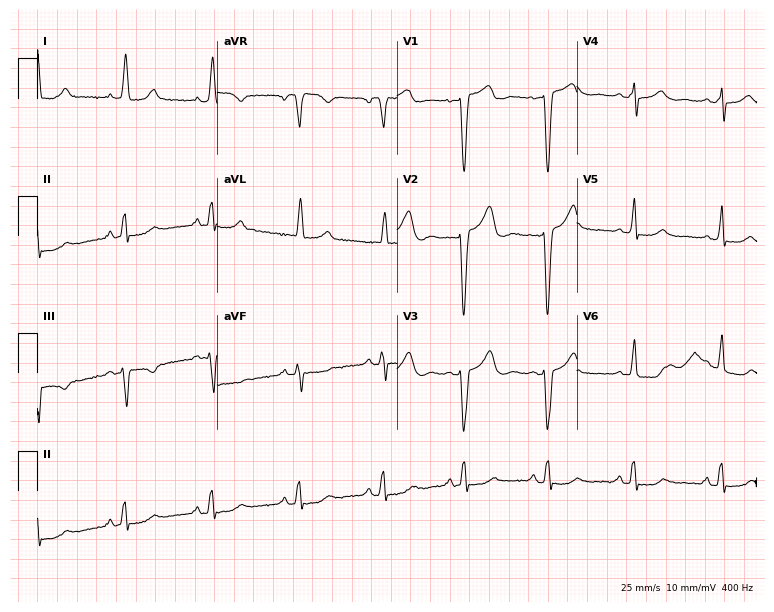
Standard 12-lead ECG recorded from a woman, 53 years old (7.3-second recording at 400 Hz). None of these six findings is recorded: first-degree AV block, right bundle branch block, left bundle branch block, sinus bradycardia, atrial fibrillation, sinus tachycardia.